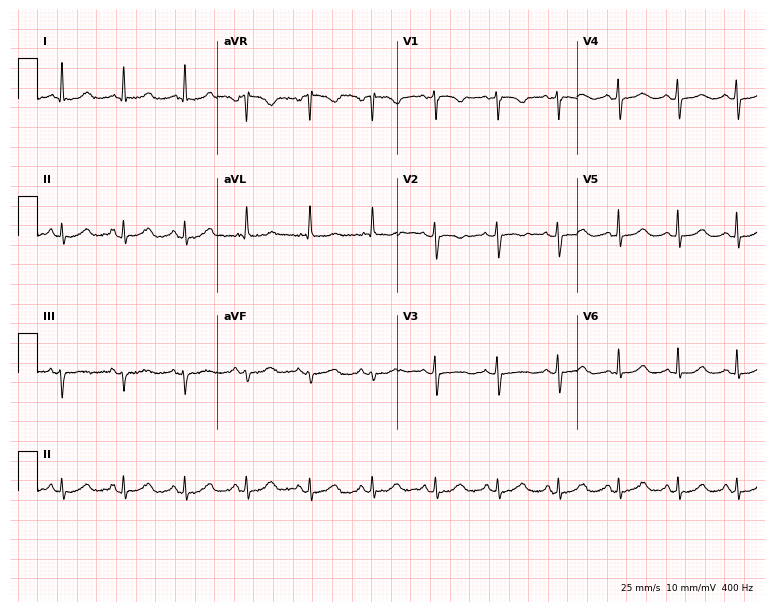
12-lead ECG from a 70-year-old female. No first-degree AV block, right bundle branch block, left bundle branch block, sinus bradycardia, atrial fibrillation or sinus tachycardia recorded for this tracing.